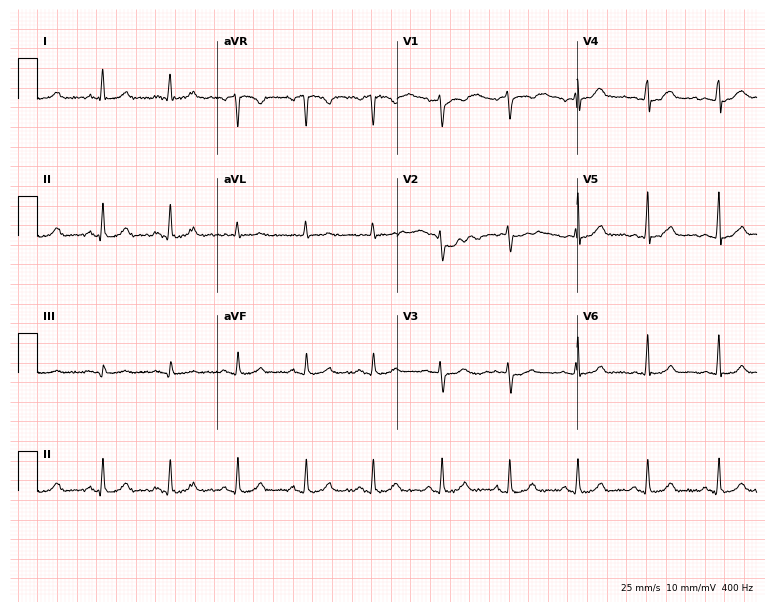
ECG — a female, 45 years old. Labelled as a normal ECG.